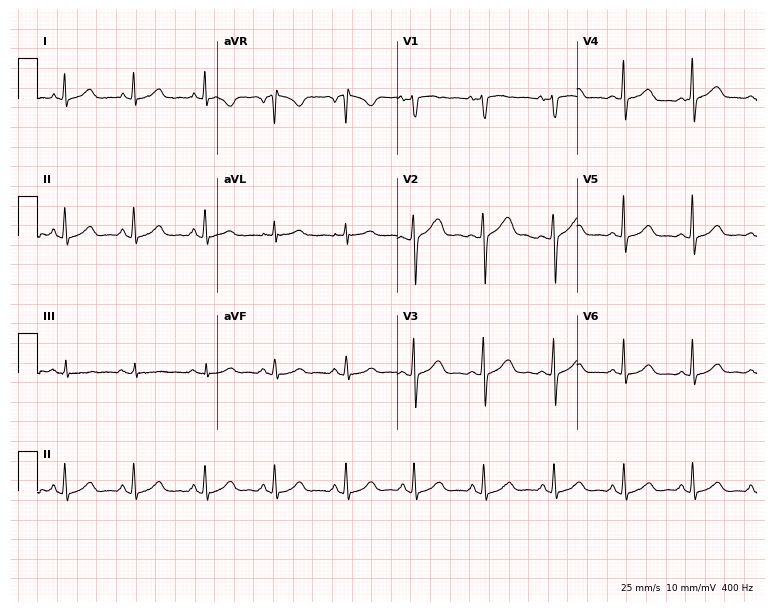
Standard 12-lead ECG recorded from a 41-year-old female (7.3-second recording at 400 Hz). Read as a normal ECG.